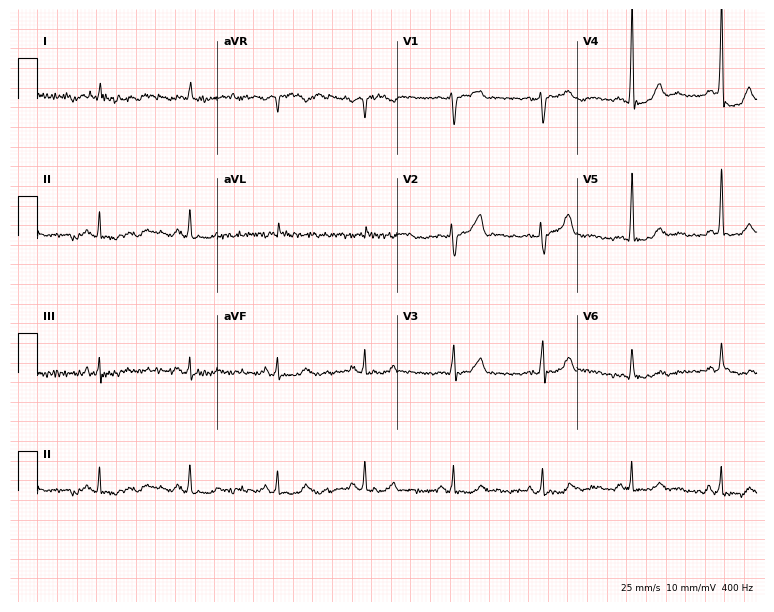
Standard 12-lead ECG recorded from a 71-year-old male patient. Read as a normal ECG.